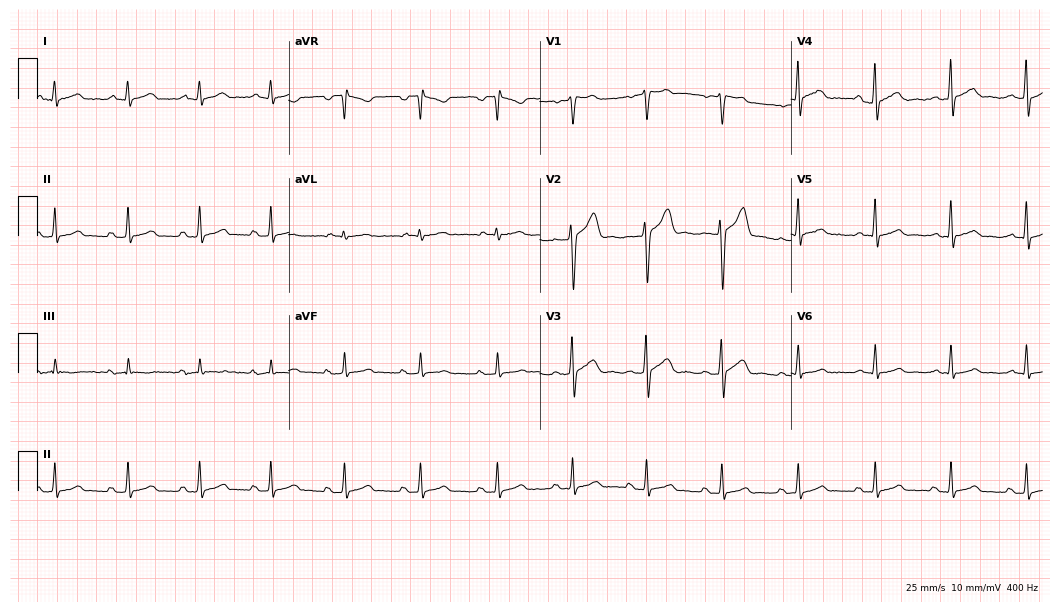
12-lead ECG (10.2-second recording at 400 Hz) from a 37-year-old male. Labelled as a normal ECG.